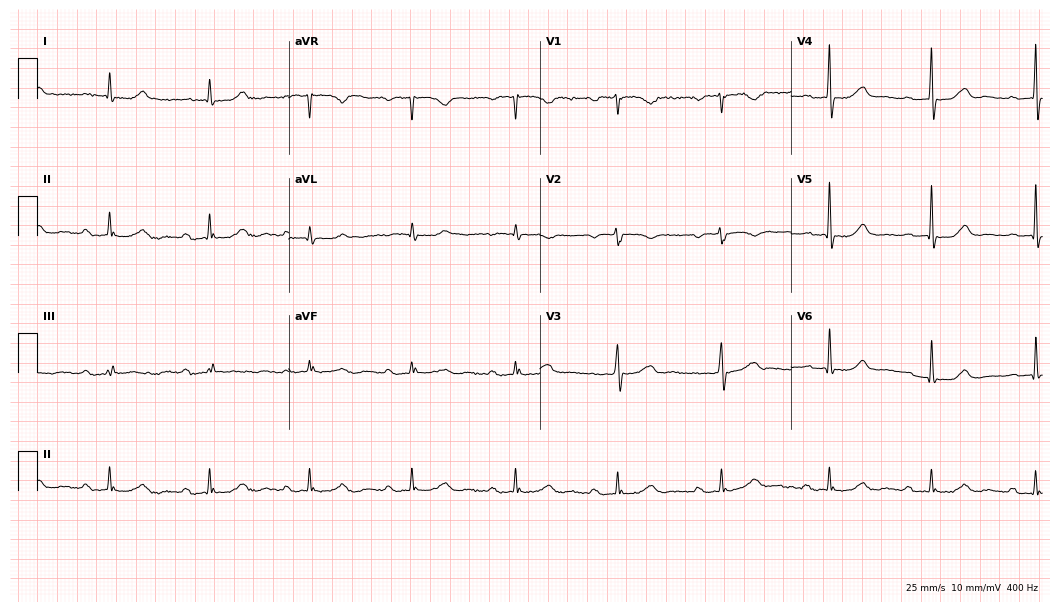
Electrocardiogram, a woman, 88 years old. Interpretation includes first-degree AV block.